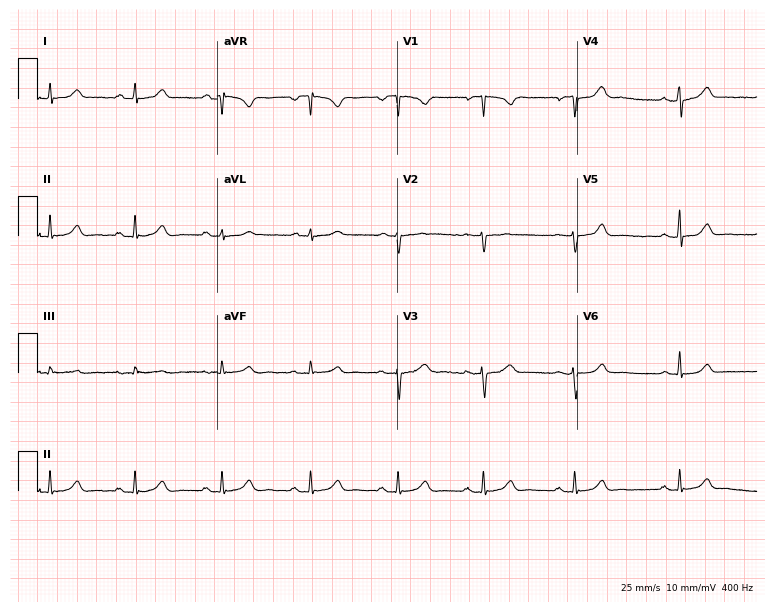
Electrocardiogram (7.3-second recording at 400 Hz), a 29-year-old female patient. Of the six screened findings (first-degree AV block, right bundle branch block (RBBB), left bundle branch block (LBBB), sinus bradycardia, atrial fibrillation (AF), sinus tachycardia), none is recorded.